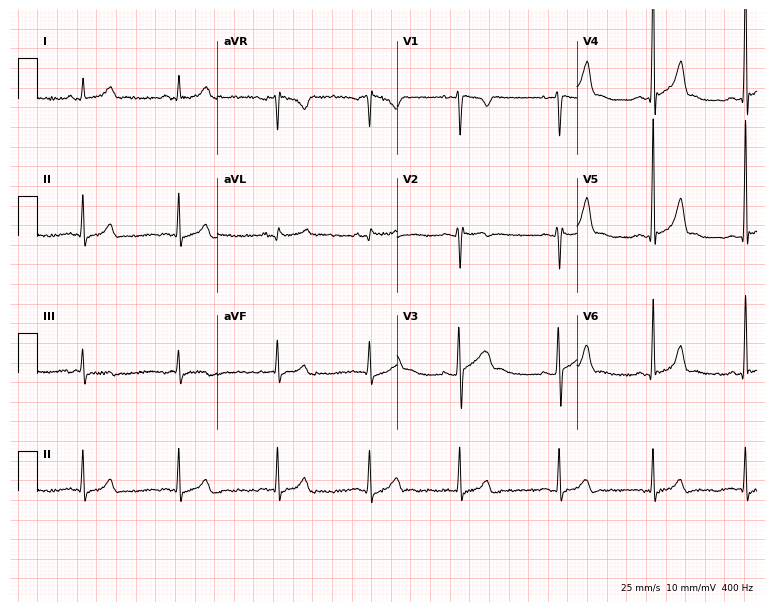
Electrocardiogram (7.3-second recording at 400 Hz), a 21-year-old man. Overall reading on record: normal ECG.